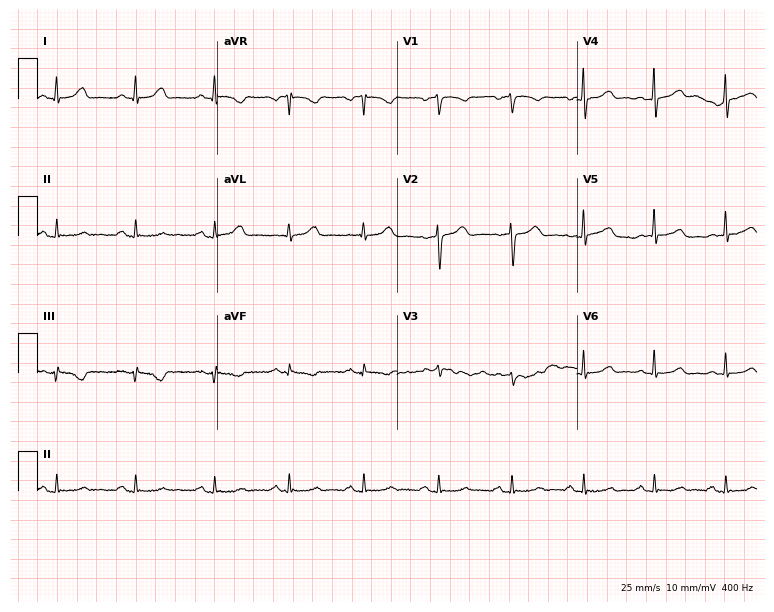
12-lead ECG from a female, 45 years old (7.3-second recording at 400 Hz). Recorded interpretation: within normal limits.